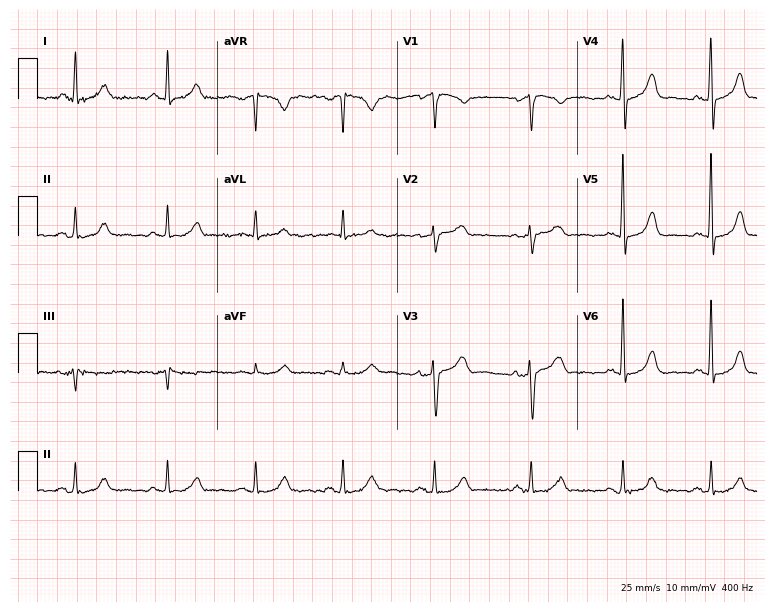
Electrocardiogram, a man, 48 years old. Overall reading on record: normal ECG.